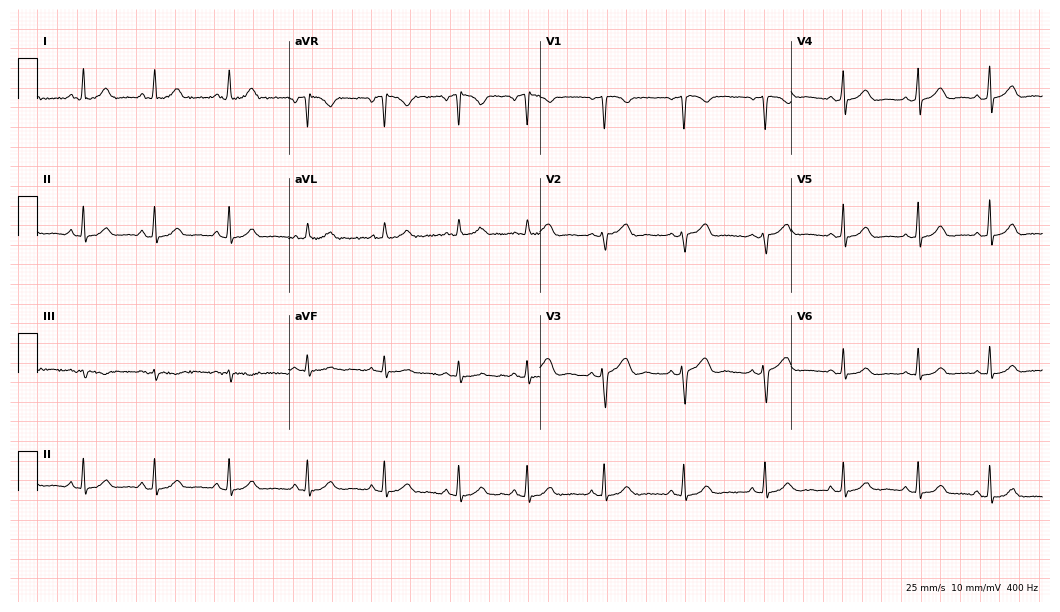
Resting 12-lead electrocardiogram. Patient: a 36-year-old woman. Read as a normal ECG.